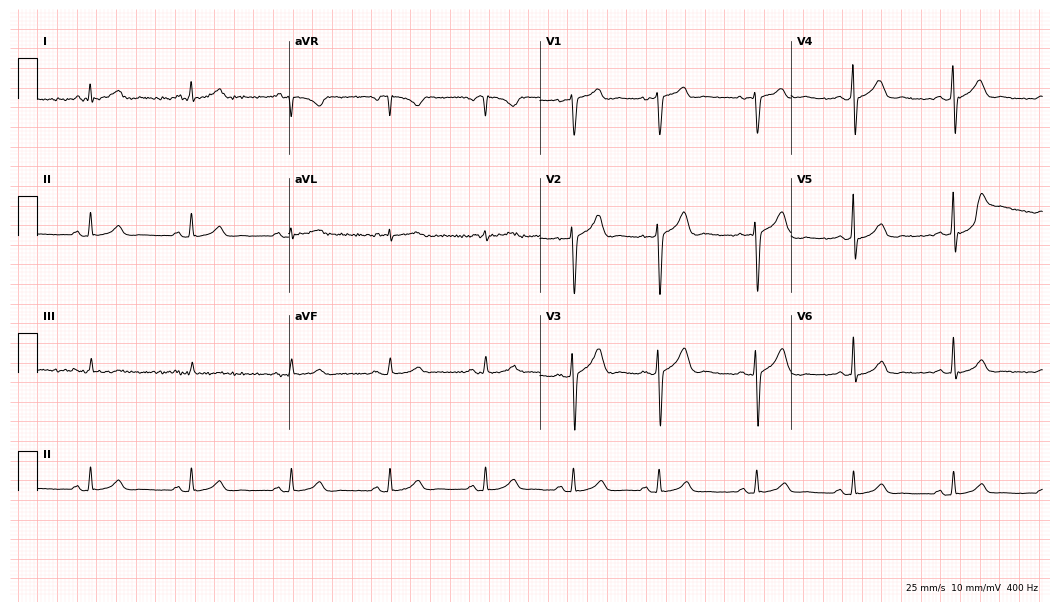
12-lead ECG from a male, 54 years old (10.2-second recording at 400 Hz). Recorded interpretation: within normal limits.